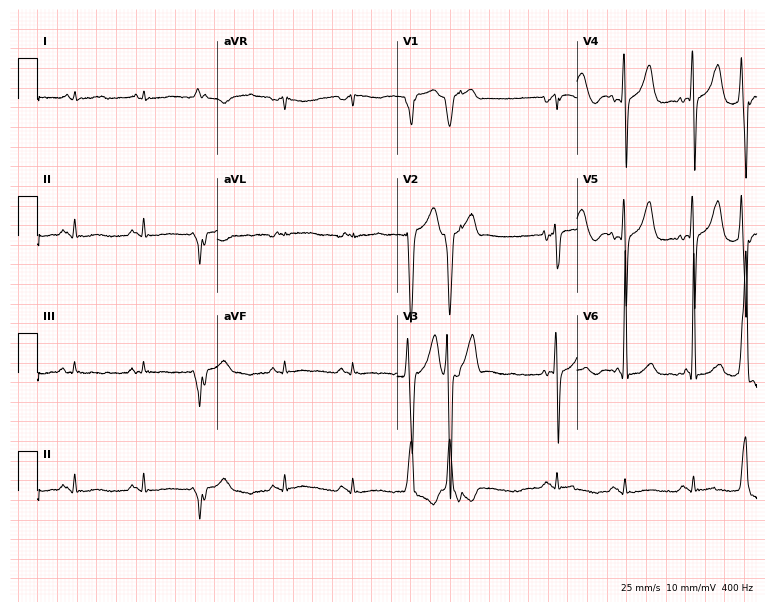
12-lead ECG from a 65-year-old male. No first-degree AV block, right bundle branch block, left bundle branch block, sinus bradycardia, atrial fibrillation or sinus tachycardia recorded for this tracing.